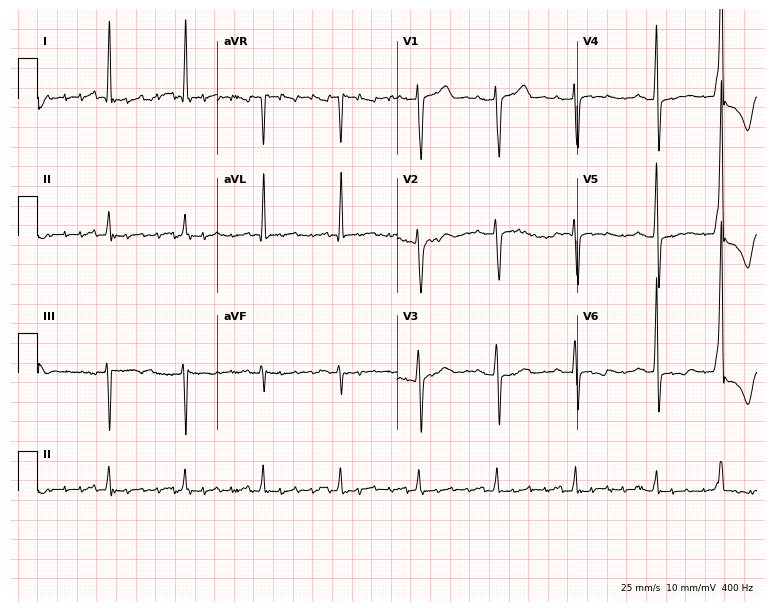
12-lead ECG from a male patient, 83 years old. No first-degree AV block, right bundle branch block (RBBB), left bundle branch block (LBBB), sinus bradycardia, atrial fibrillation (AF) or sinus tachycardia recorded for this tracing. Other findings, if any, are not listed.